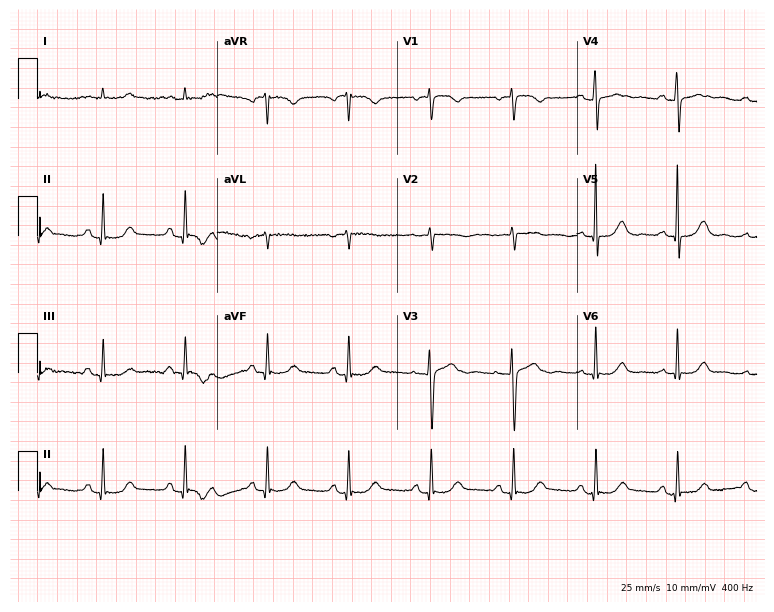
ECG — a female patient, 73 years old. Labelled as a normal ECG.